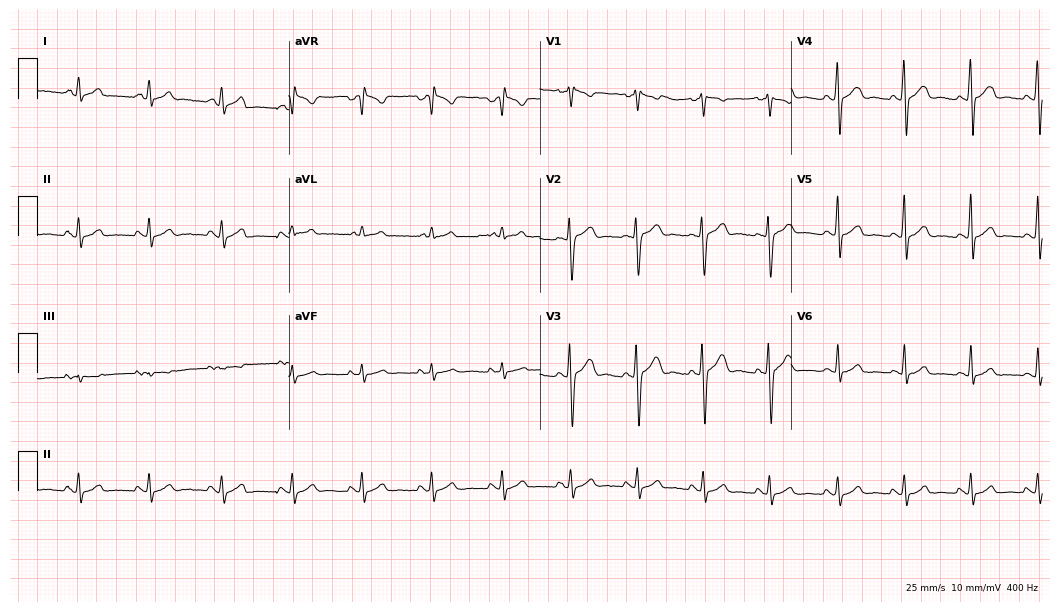
12-lead ECG (10.2-second recording at 400 Hz) from a 21-year-old male patient. Labelled as a normal ECG.